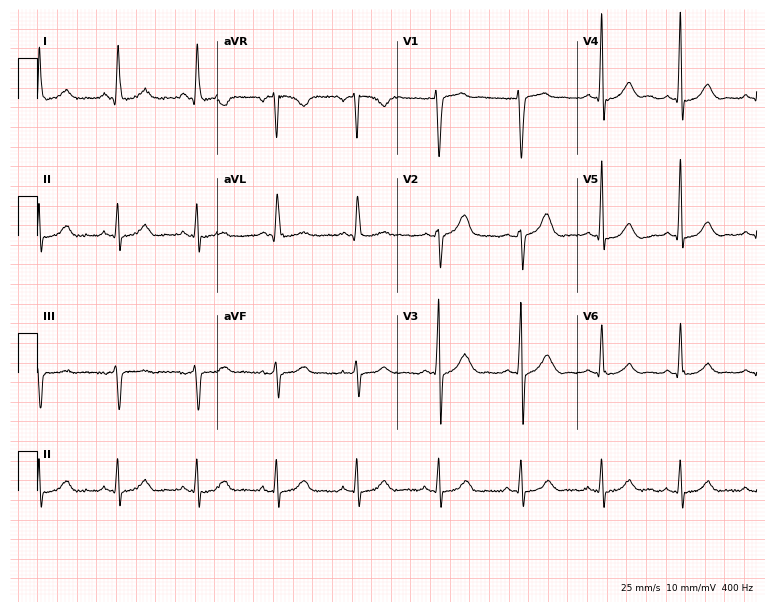
12-lead ECG from a 46-year-old male (7.3-second recording at 400 Hz). No first-degree AV block, right bundle branch block, left bundle branch block, sinus bradycardia, atrial fibrillation or sinus tachycardia recorded for this tracing.